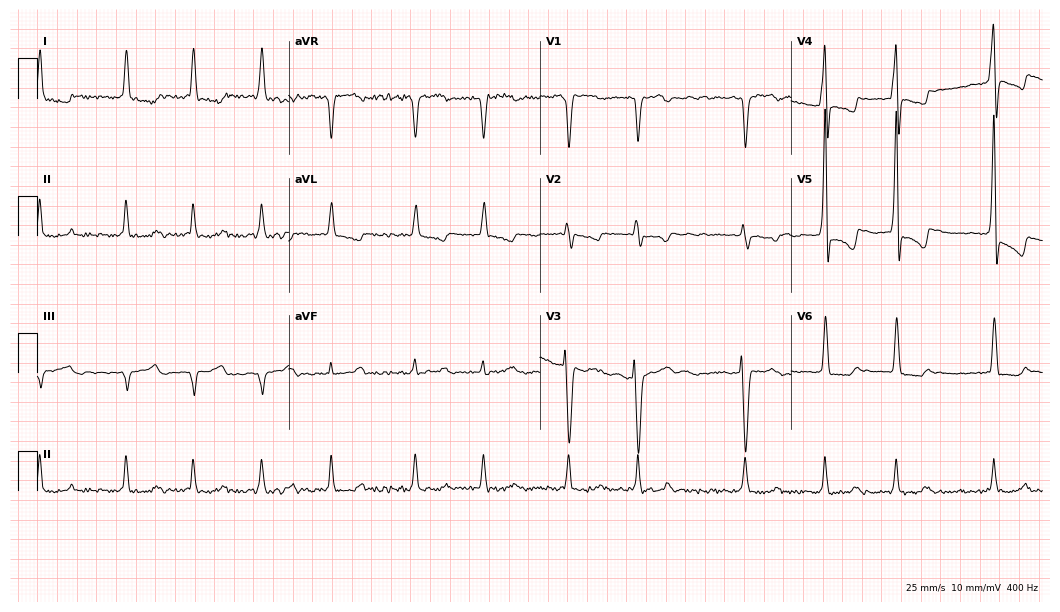
Standard 12-lead ECG recorded from a male patient, 53 years old (10.2-second recording at 400 Hz). None of these six findings is recorded: first-degree AV block, right bundle branch block, left bundle branch block, sinus bradycardia, atrial fibrillation, sinus tachycardia.